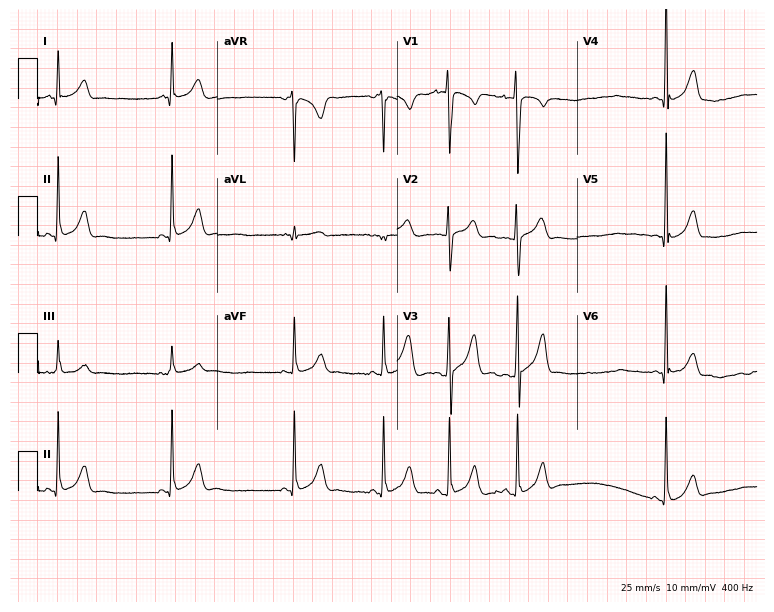
12-lead ECG (7.3-second recording at 400 Hz) from a 23-year-old man. Screened for six findings — first-degree AV block, right bundle branch block, left bundle branch block, sinus bradycardia, atrial fibrillation, sinus tachycardia — none is recorded. Findings outside these six are not listed.